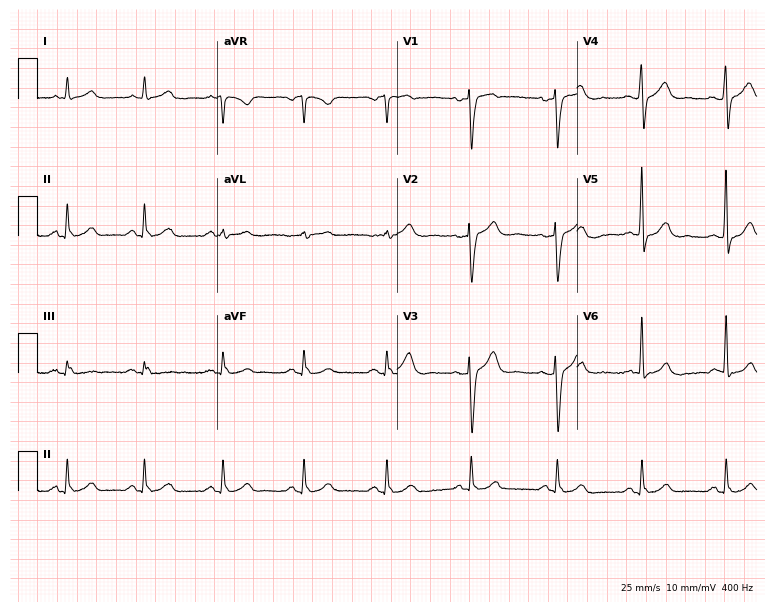
12-lead ECG from a man, 46 years old. Labelled as a normal ECG.